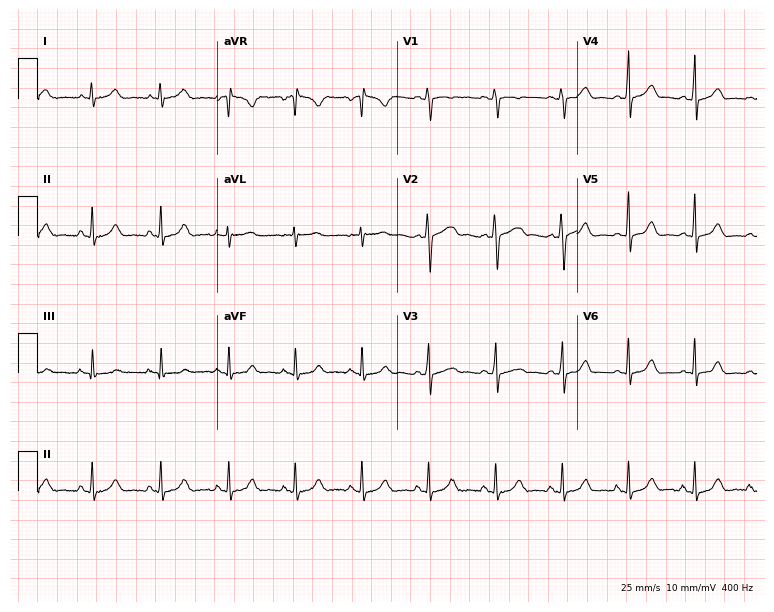
ECG — a female patient, 35 years old. Screened for six findings — first-degree AV block, right bundle branch block, left bundle branch block, sinus bradycardia, atrial fibrillation, sinus tachycardia — none is recorded.